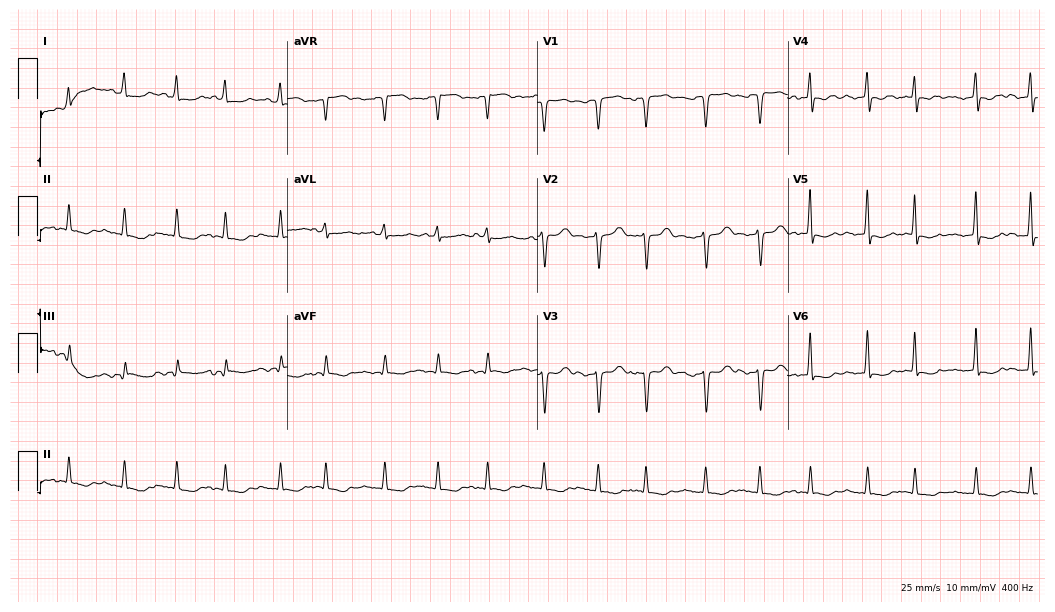
Resting 12-lead electrocardiogram (10.2-second recording at 400 Hz). Patient: a female, 59 years old. The tracing shows atrial fibrillation.